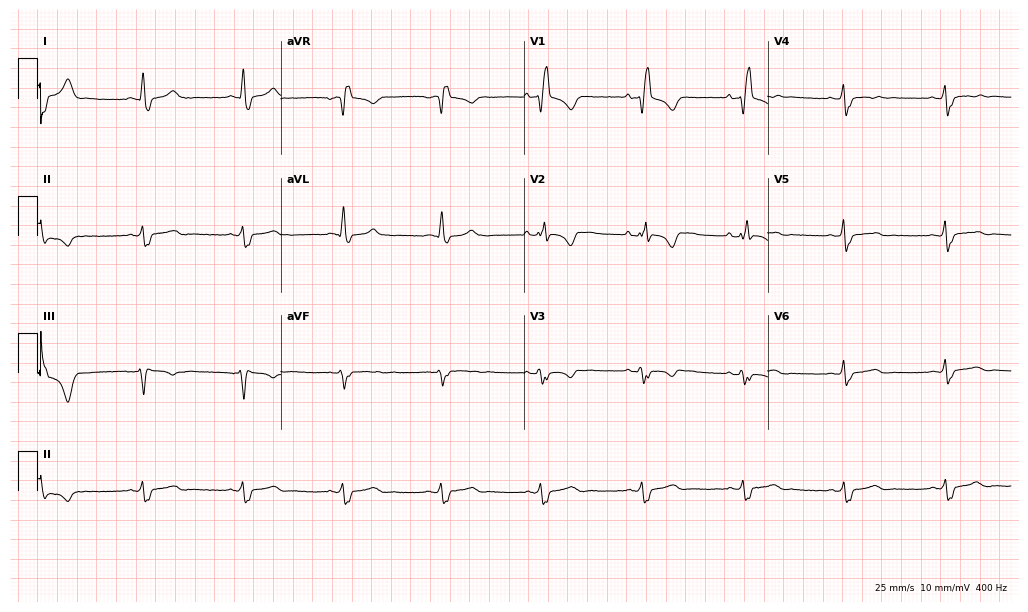
ECG — a woman, 49 years old. Findings include right bundle branch block (RBBB).